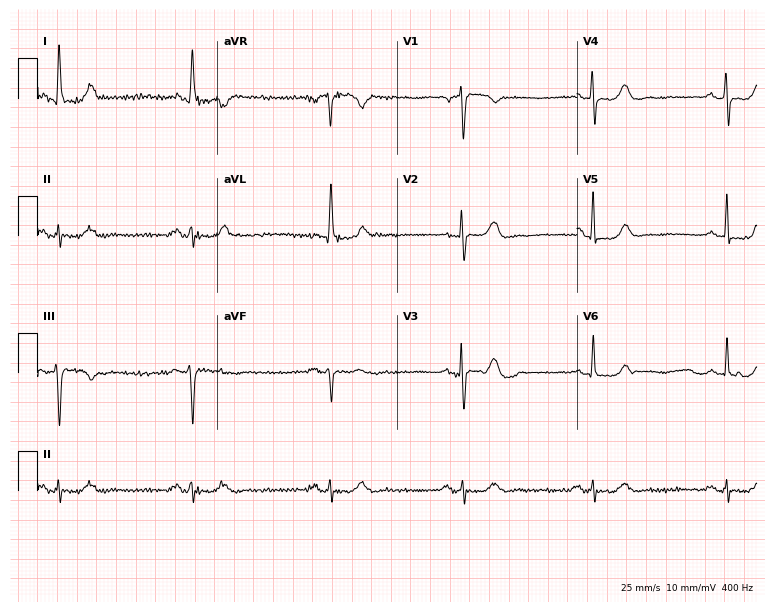
12-lead ECG (7.3-second recording at 400 Hz) from a woman, 72 years old. Screened for six findings — first-degree AV block, right bundle branch block, left bundle branch block, sinus bradycardia, atrial fibrillation, sinus tachycardia — none is recorded. Only these six findings were labelled.